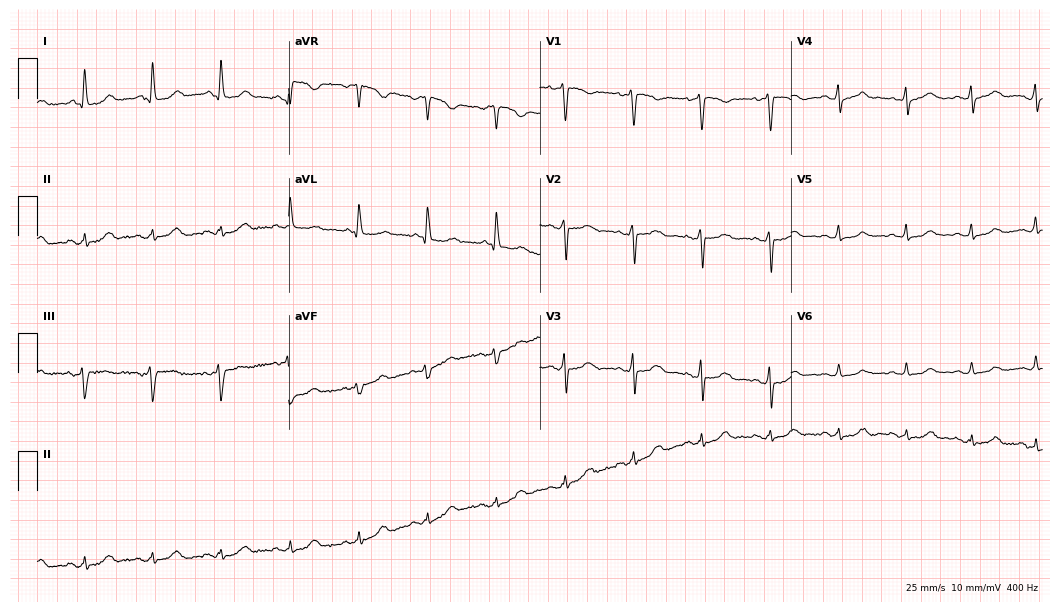
Resting 12-lead electrocardiogram (10.2-second recording at 400 Hz). Patient: a woman, 63 years old. None of these six findings is recorded: first-degree AV block, right bundle branch block, left bundle branch block, sinus bradycardia, atrial fibrillation, sinus tachycardia.